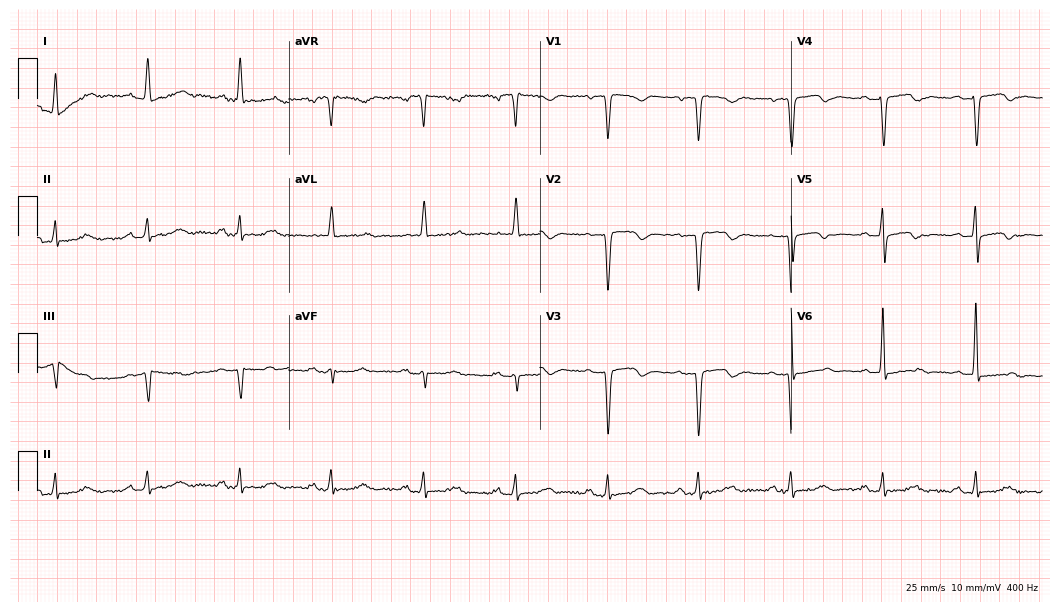
Resting 12-lead electrocardiogram. Patient: a woman, 77 years old. None of these six findings is recorded: first-degree AV block, right bundle branch block, left bundle branch block, sinus bradycardia, atrial fibrillation, sinus tachycardia. Other findings, if any, are not listed.